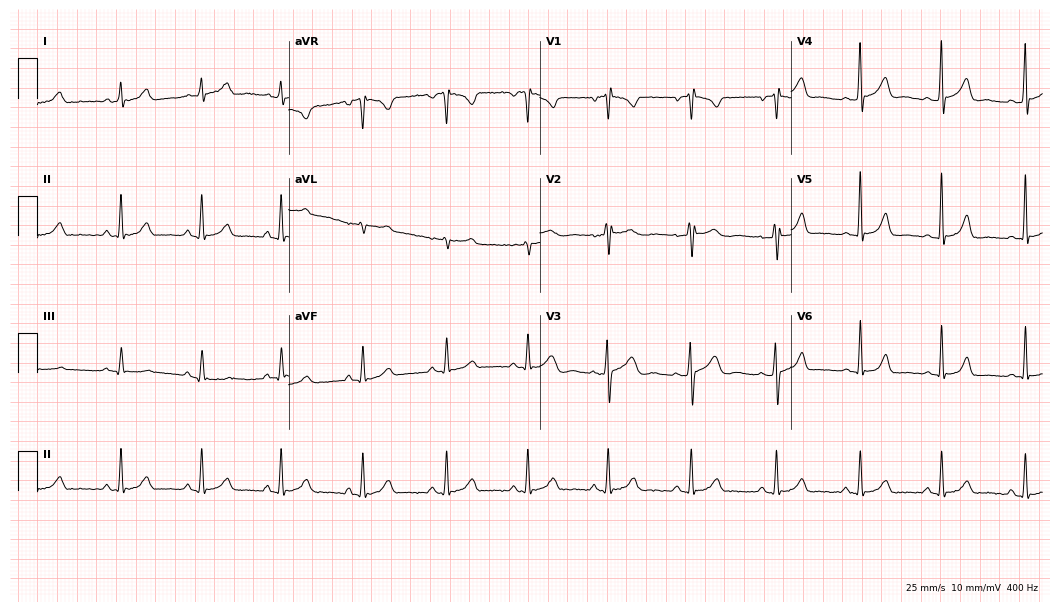
Electrocardiogram, a female, 28 years old. Overall reading on record: normal ECG.